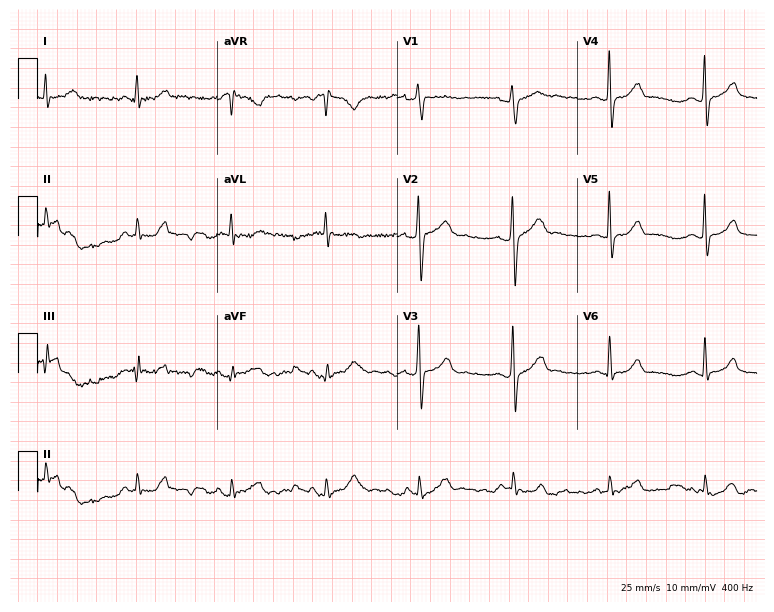
Resting 12-lead electrocardiogram. Patient: a 42-year-old male. None of these six findings is recorded: first-degree AV block, right bundle branch block, left bundle branch block, sinus bradycardia, atrial fibrillation, sinus tachycardia. Only these six findings were labelled.